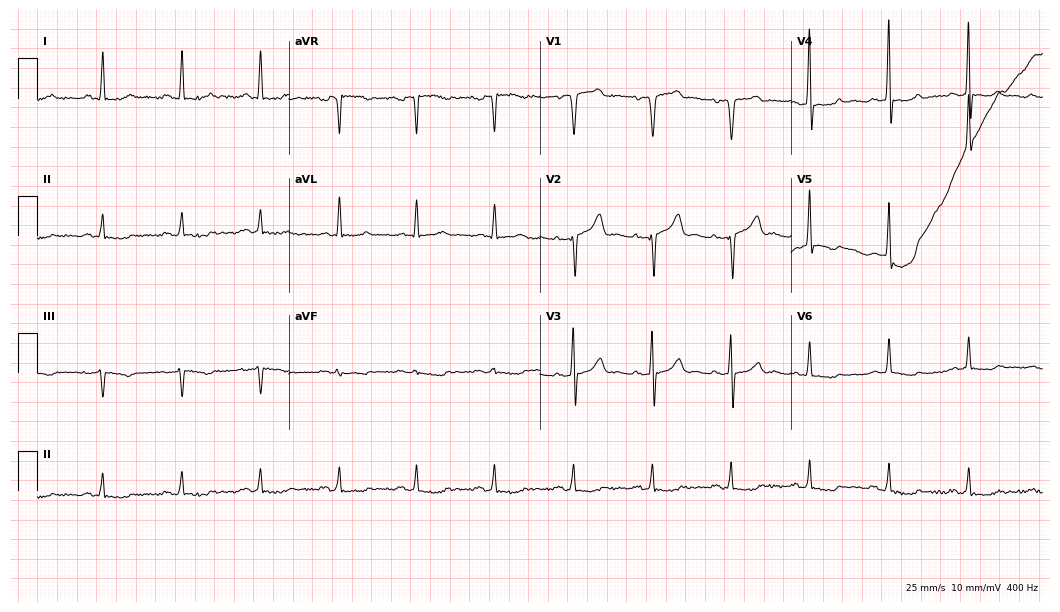
12-lead ECG from a 71-year-old man. Screened for six findings — first-degree AV block, right bundle branch block (RBBB), left bundle branch block (LBBB), sinus bradycardia, atrial fibrillation (AF), sinus tachycardia — none is recorded. Other findings, if any, are not listed.